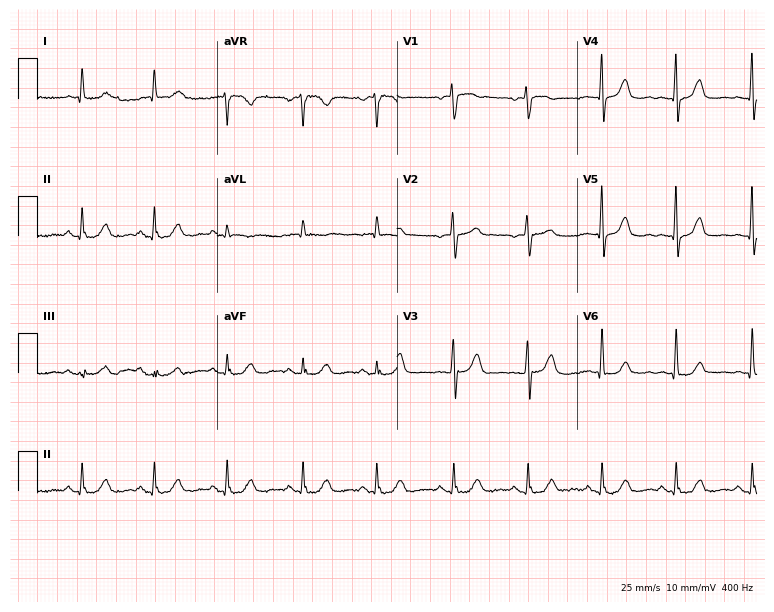
12-lead ECG from an 82-year-old woman. Screened for six findings — first-degree AV block, right bundle branch block, left bundle branch block, sinus bradycardia, atrial fibrillation, sinus tachycardia — none is recorded. Findings outside these six are not listed.